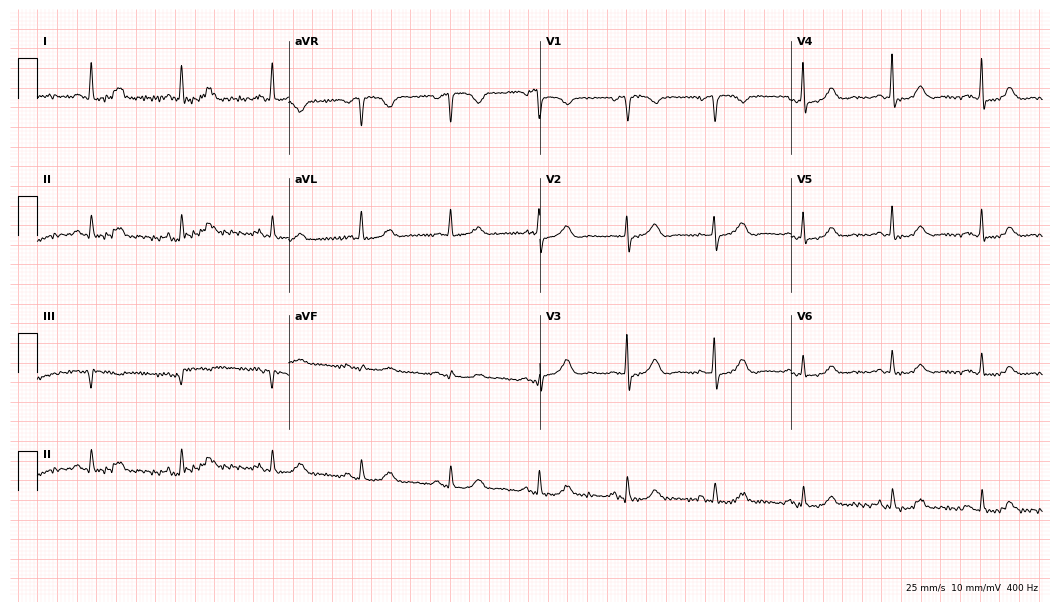
Electrocardiogram, a female, 70 years old. Overall reading on record: normal ECG.